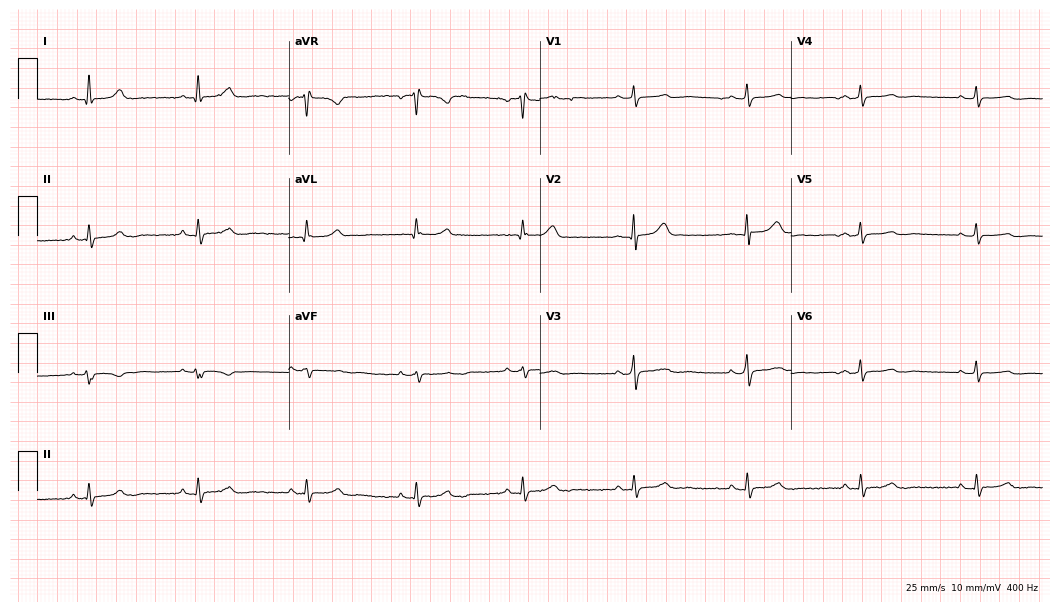
12-lead ECG from a woman, 54 years old. Recorded interpretation: within normal limits.